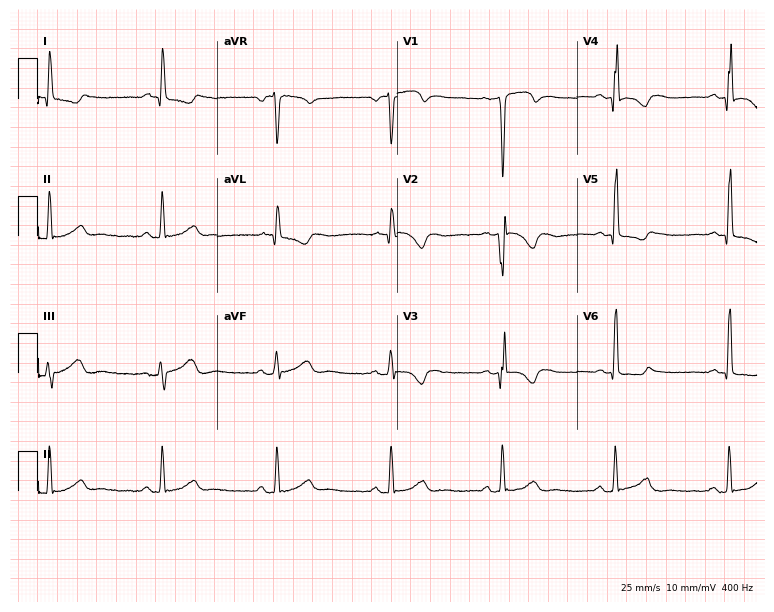
12-lead ECG from a woman, 51 years old. Screened for six findings — first-degree AV block, right bundle branch block, left bundle branch block, sinus bradycardia, atrial fibrillation, sinus tachycardia — none is recorded.